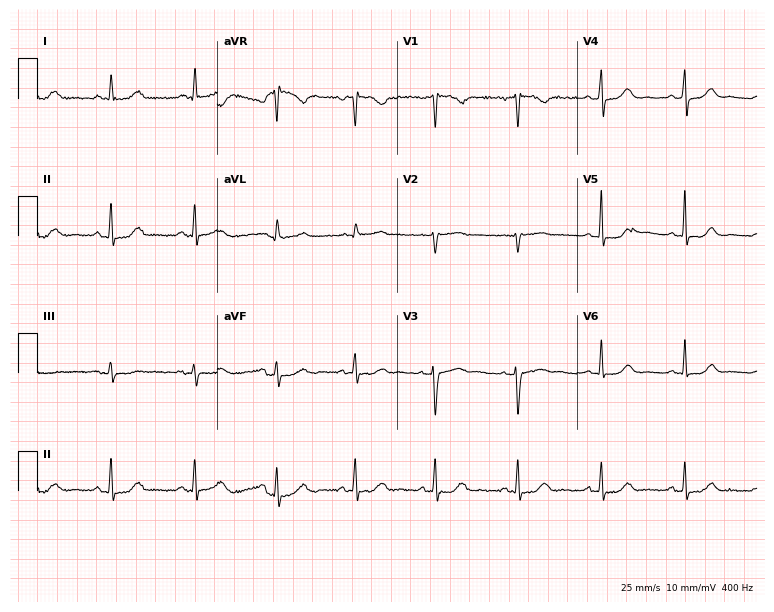
12-lead ECG from a 60-year-old woman. Labelled as a normal ECG.